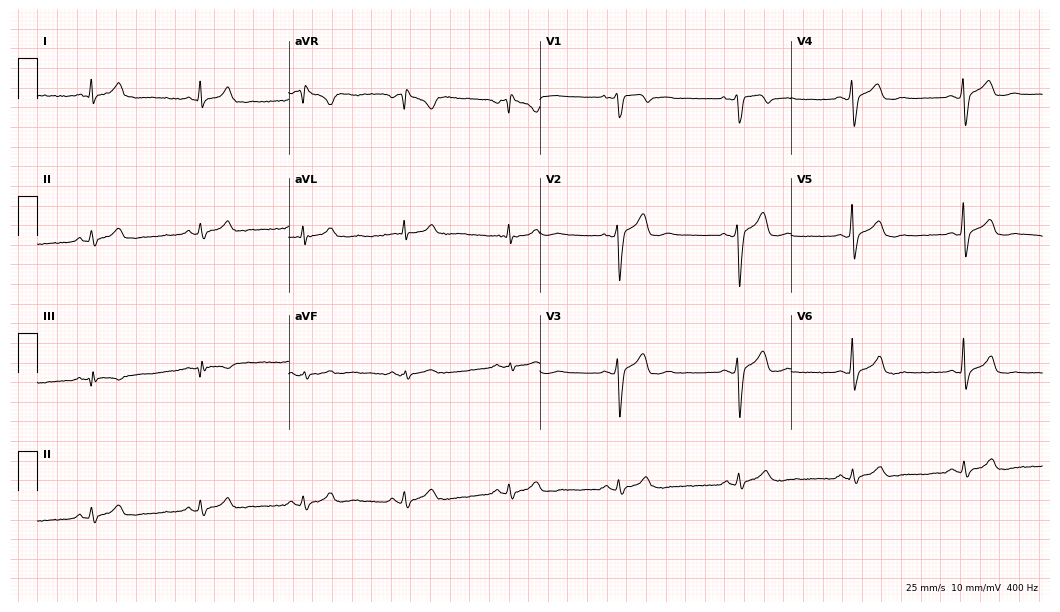
12-lead ECG from a male patient, 23 years old. No first-degree AV block, right bundle branch block (RBBB), left bundle branch block (LBBB), sinus bradycardia, atrial fibrillation (AF) or sinus tachycardia recorded for this tracing.